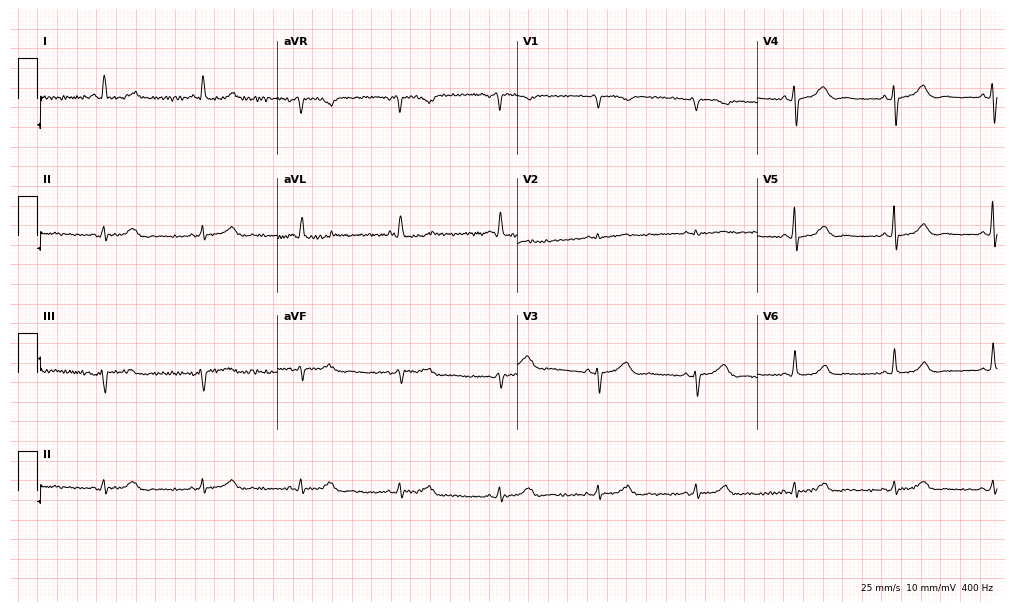
Standard 12-lead ECG recorded from a female patient, 82 years old. Read as a normal ECG.